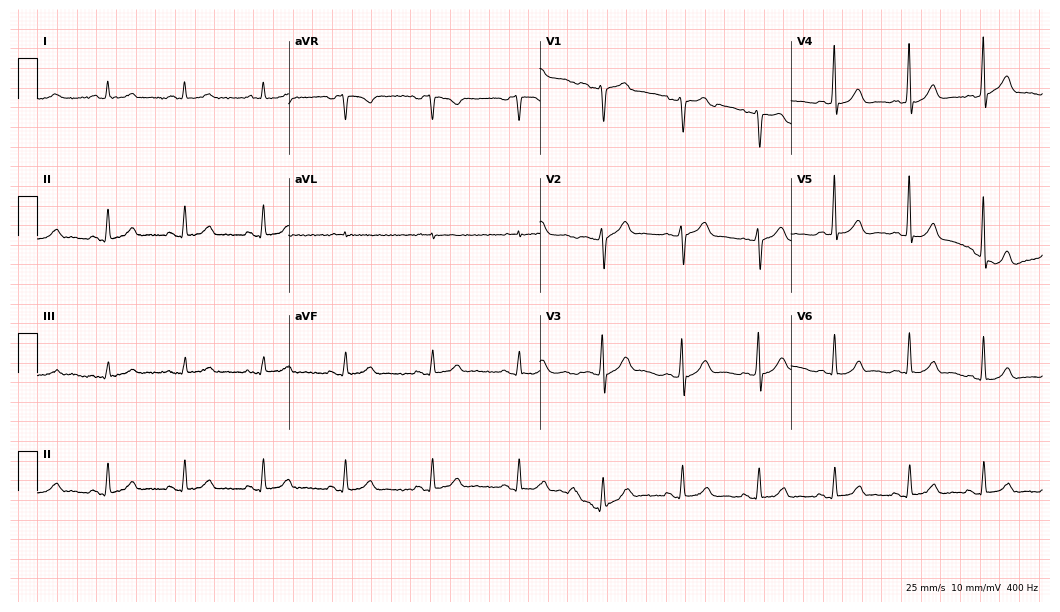
12-lead ECG from a 67-year-old male patient (10.2-second recording at 400 Hz). No first-degree AV block, right bundle branch block (RBBB), left bundle branch block (LBBB), sinus bradycardia, atrial fibrillation (AF) or sinus tachycardia recorded for this tracing.